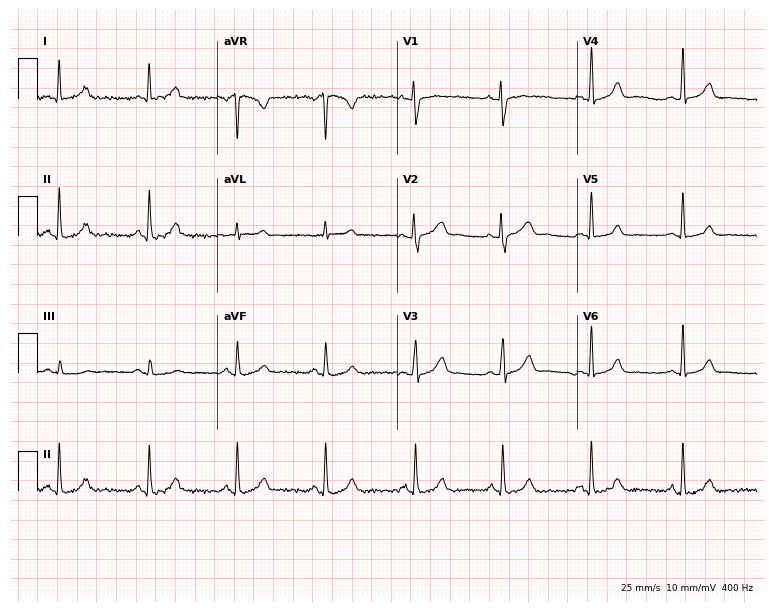
12-lead ECG from a 36-year-old female (7.3-second recording at 400 Hz). No first-degree AV block, right bundle branch block (RBBB), left bundle branch block (LBBB), sinus bradycardia, atrial fibrillation (AF) or sinus tachycardia recorded for this tracing.